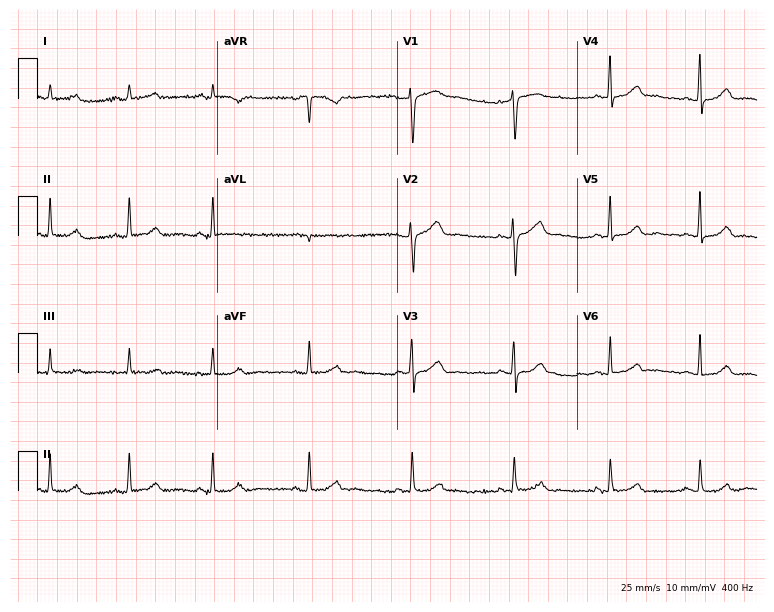
12-lead ECG (7.3-second recording at 400 Hz) from a 42-year-old woman. Screened for six findings — first-degree AV block, right bundle branch block, left bundle branch block, sinus bradycardia, atrial fibrillation, sinus tachycardia — none is recorded. Other findings, if any, are not listed.